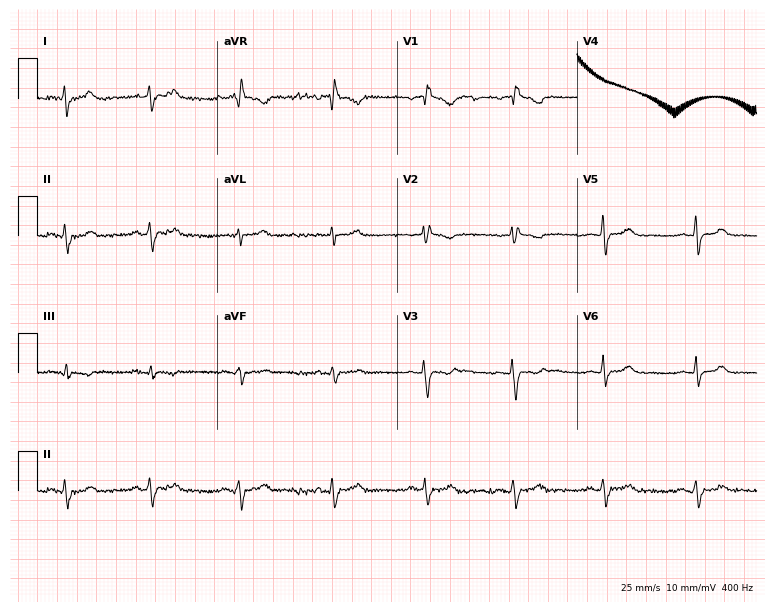
Resting 12-lead electrocardiogram. Patient: a female, 33 years old. None of these six findings is recorded: first-degree AV block, right bundle branch block, left bundle branch block, sinus bradycardia, atrial fibrillation, sinus tachycardia.